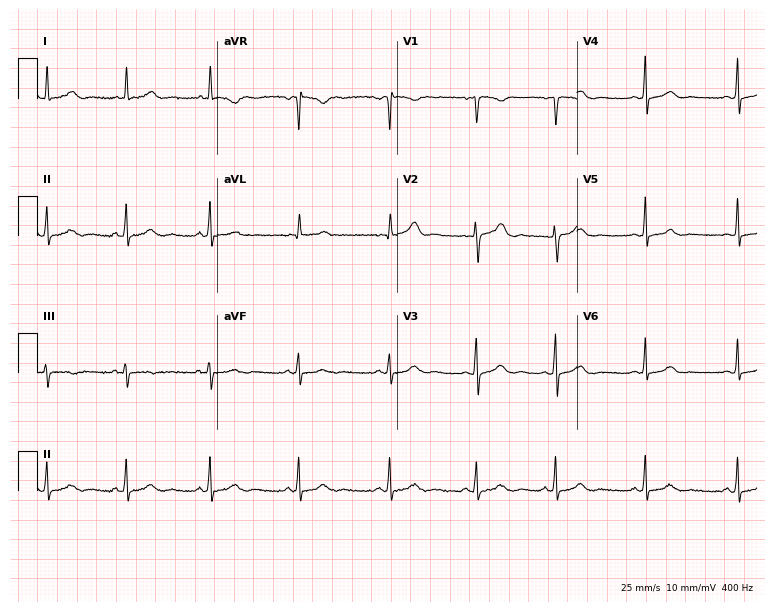
ECG — a female, 22 years old. Labelled as a normal ECG.